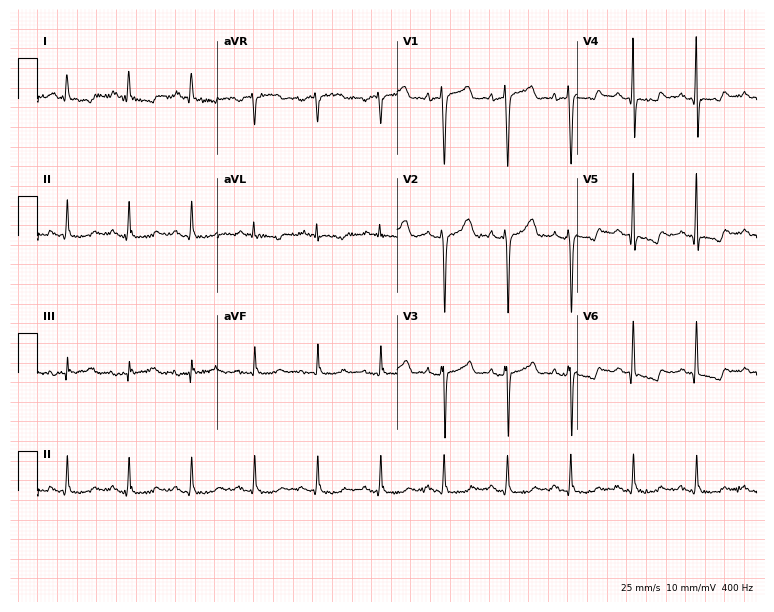
Electrocardiogram (7.3-second recording at 400 Hz), a female patient, 42 years old. Of the six screened findings (first-degree AV block, right bundle branch block, left bundle branch block, sinus bradycardia, atrial fibrillation, sinus tachycardia), none is recorded. Other findings, if any, are not listed.